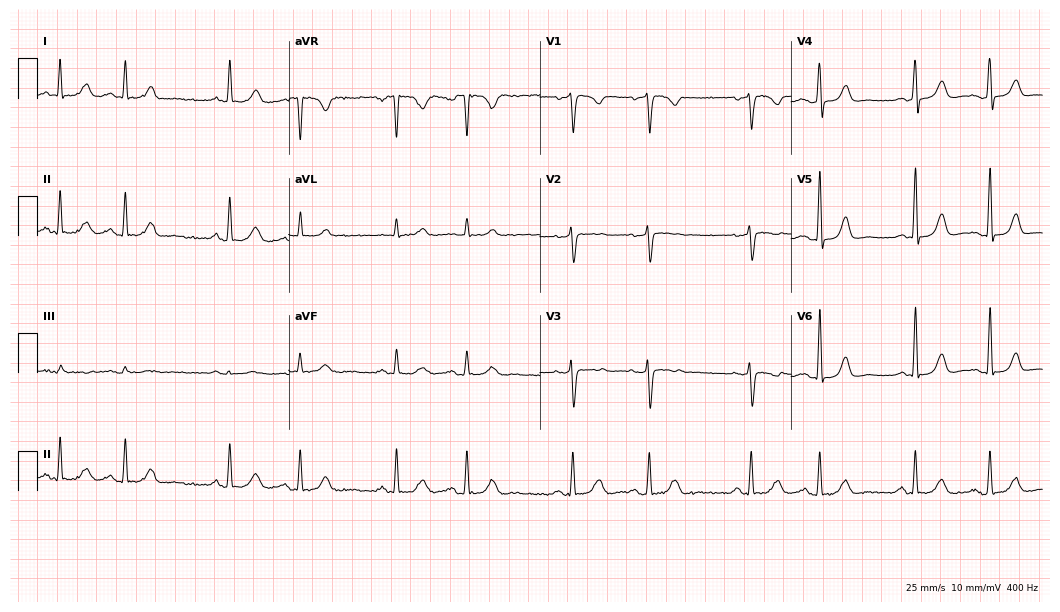
12-lead ECG from a female, 68 years old. No first-degree AV block, right bundle branch block, left bundle branch block, sinus bradycardia, atrial fibrillation or sinus tachycardia recorded for this tracing. Findings outside these six are not listed.